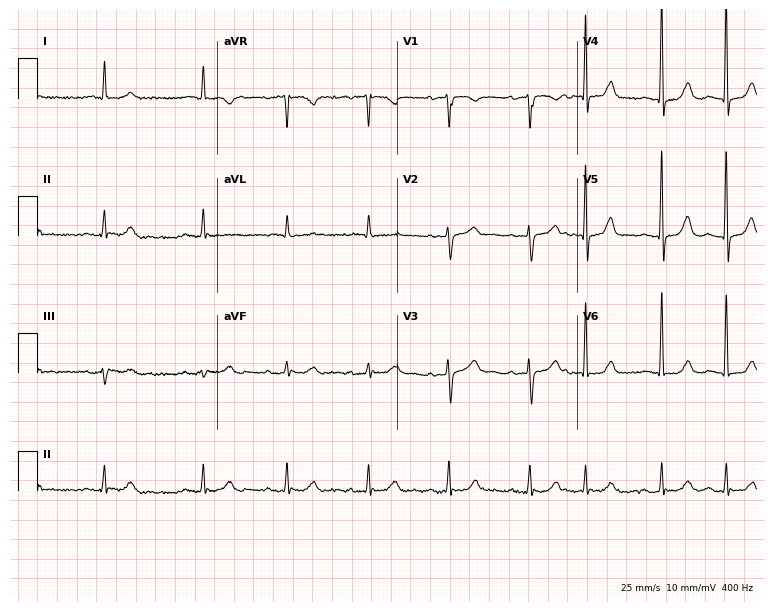
12-lead ECG from an 84-year-old male patient. Screened for six findings — first-degree AV block, right bundle branch block, left bundle branch block, sinus bradycardia, atrial fibrillation, sinus tachycardia — none is recorded.